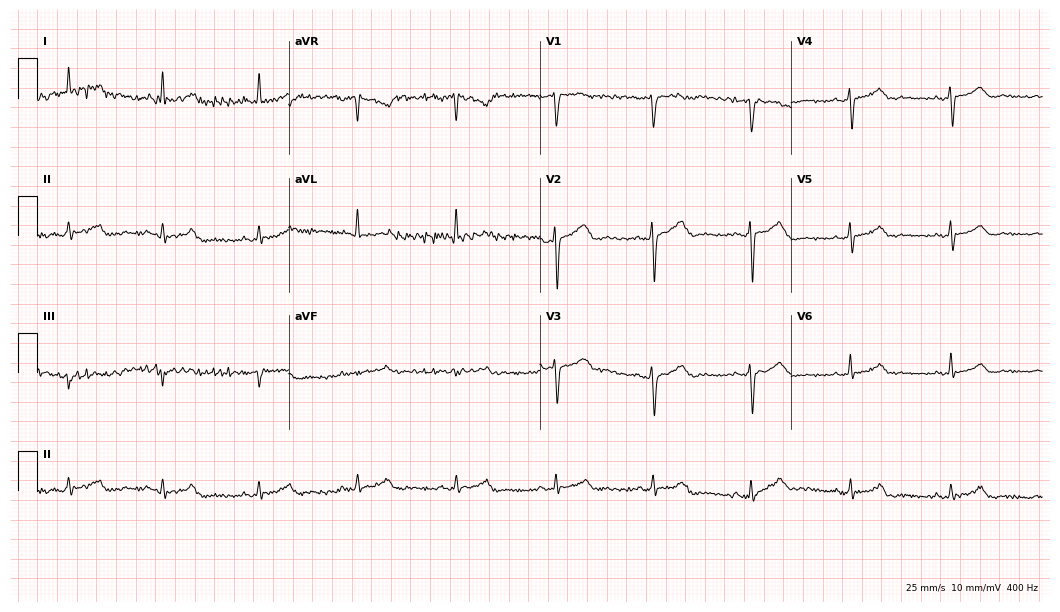
Standard 12-lead ECG recorded from a 51-year-old female patient (10.2-second recording at 400 Hz). None of these six findings is recorded: first-degree AV block, right bundle branch block, left bundle branch block, sinus bradycardia, atrial fibrillation, sinus tachycardia.